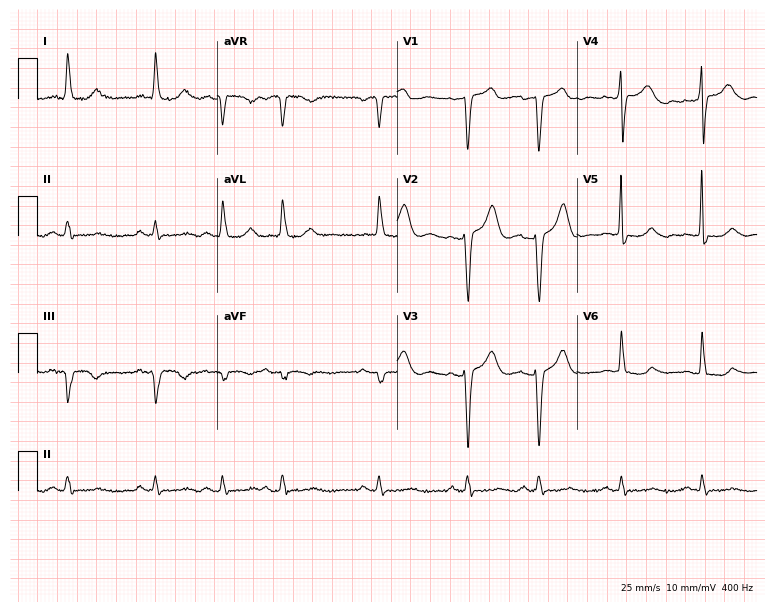
ECG (7.3-second recording at 400 Hz) — a woman, 33 years old. Screened for six findings — first-degree AV block, right bundle branch block (RBBB), left bundle branch block (LBBB), sinus bradycardia, atrial fibrillation (AF), sinus tachycardia — none is recorded.